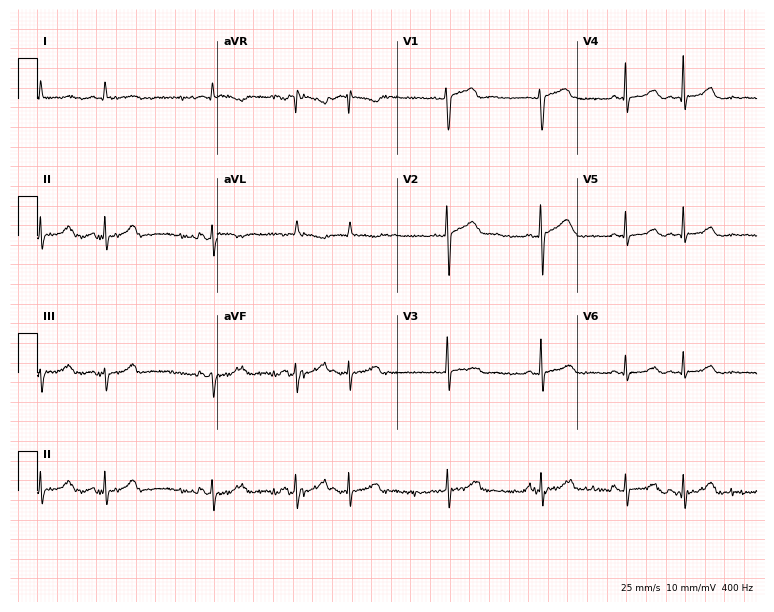
Resting 12-lead electrocardiogram. Patient: a 74-year-old female. None of these six findings is recorded: first-degree AV block, right bundle branch block, left bundle branch block, sinus bradycardia, atrial fibrillation, sinus tachycardia.